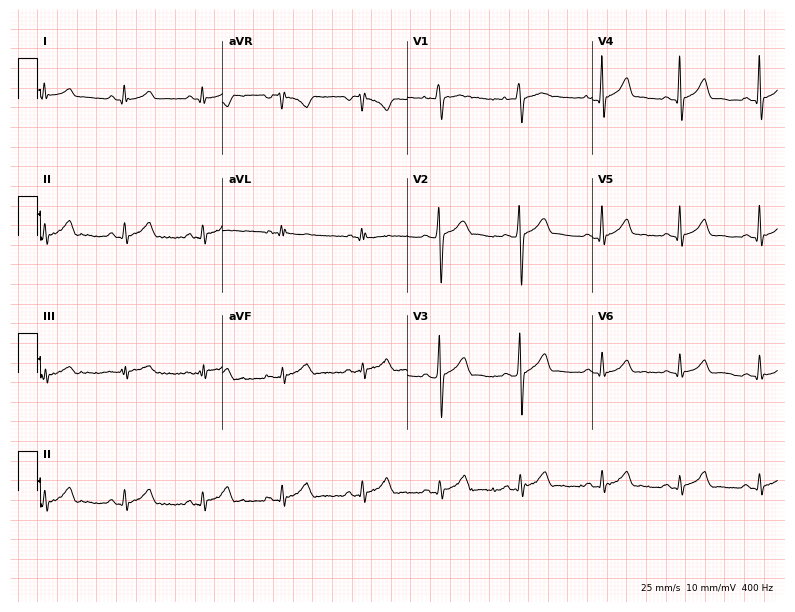
12-lead ECG (7.5-second recording at 400 Hz) from a 17-year-old male. Labelled as a normal ECG.